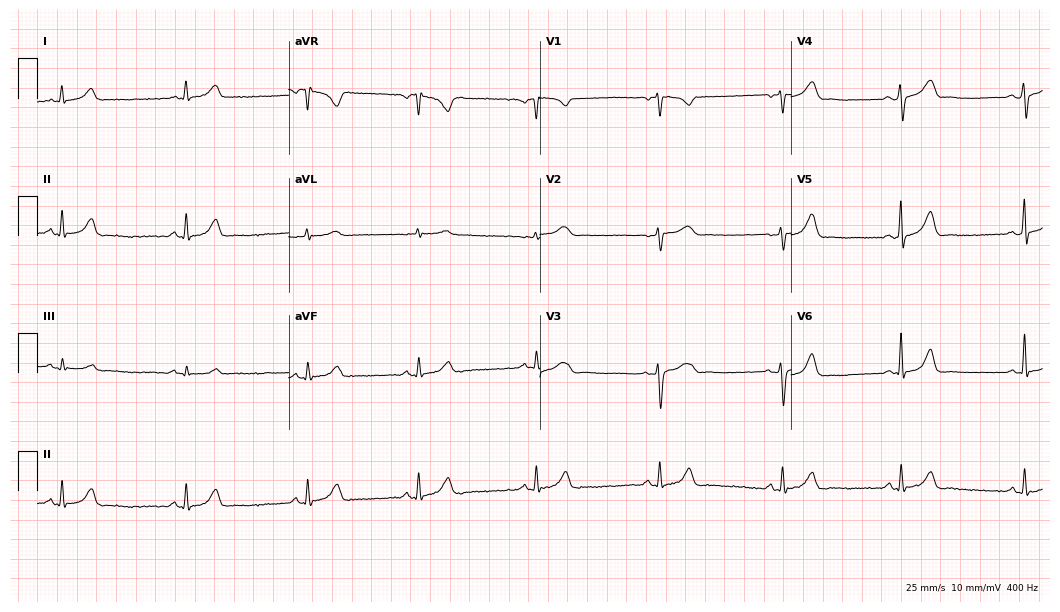
12-lead ECG from a woman, 27 years old. Labelled as a normal ECG.